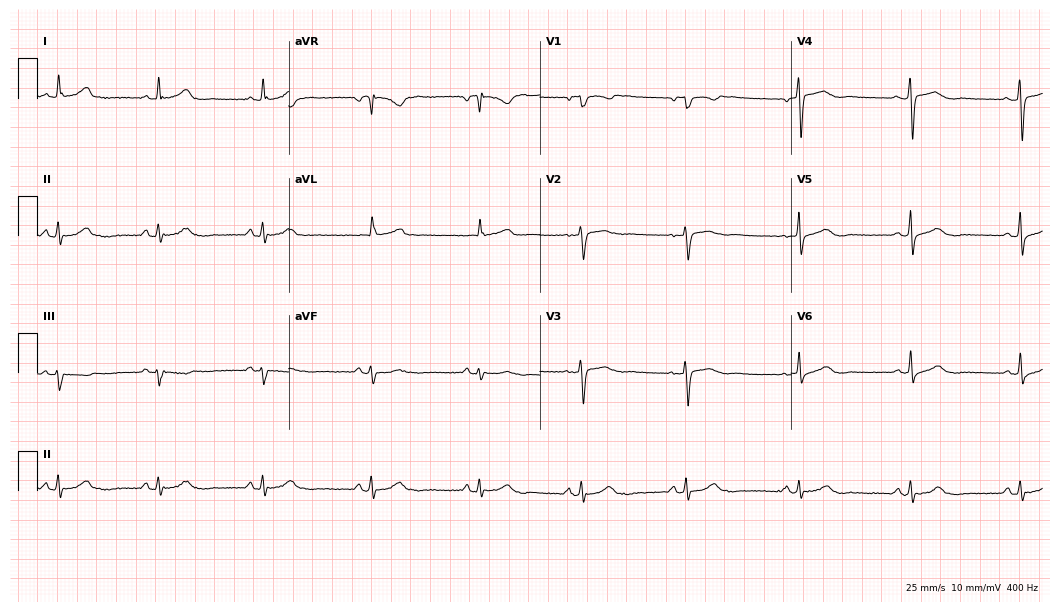
ECG — a 54-year-old female patient. Labelled as a normal ECG.